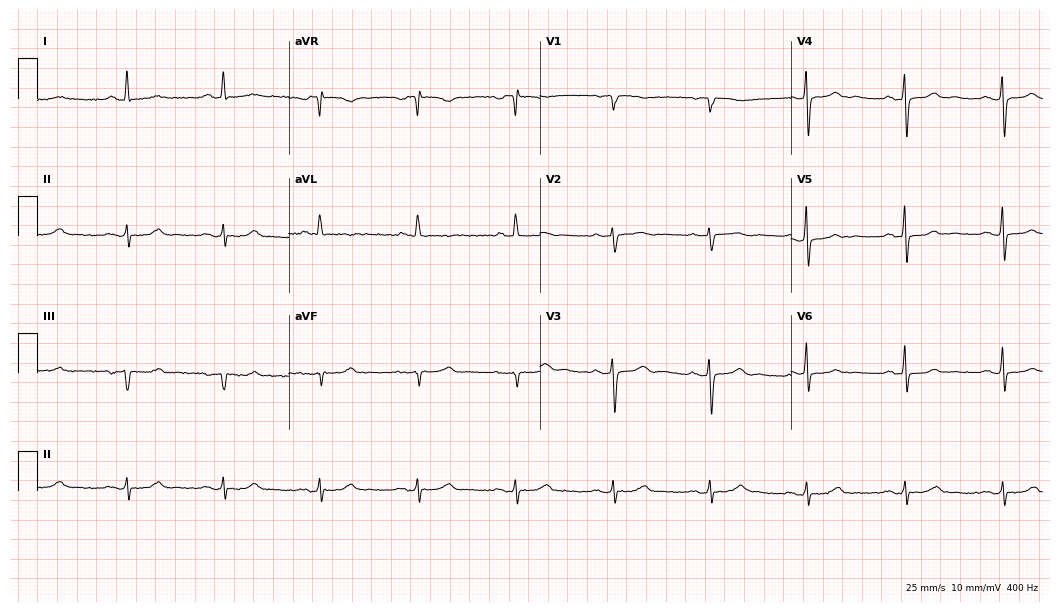
Standard 12-lead ECG recorded from a female, 64 years old. Read as a normal ECG.